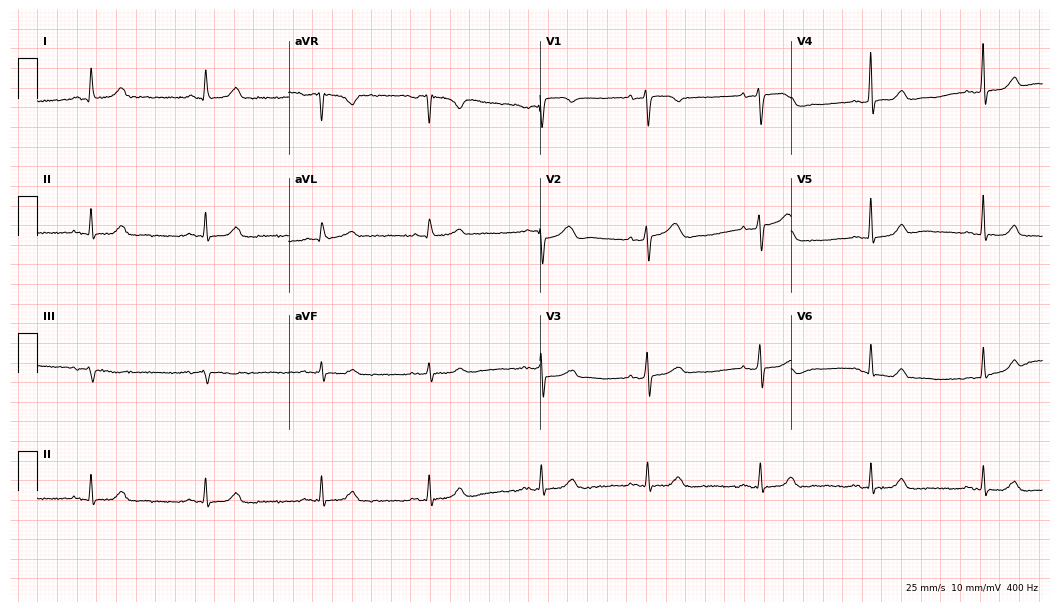
12-lead ECG (10.2-second recording at 400 Hz) from a 48-year-old female. Labelled as a normal ECG.